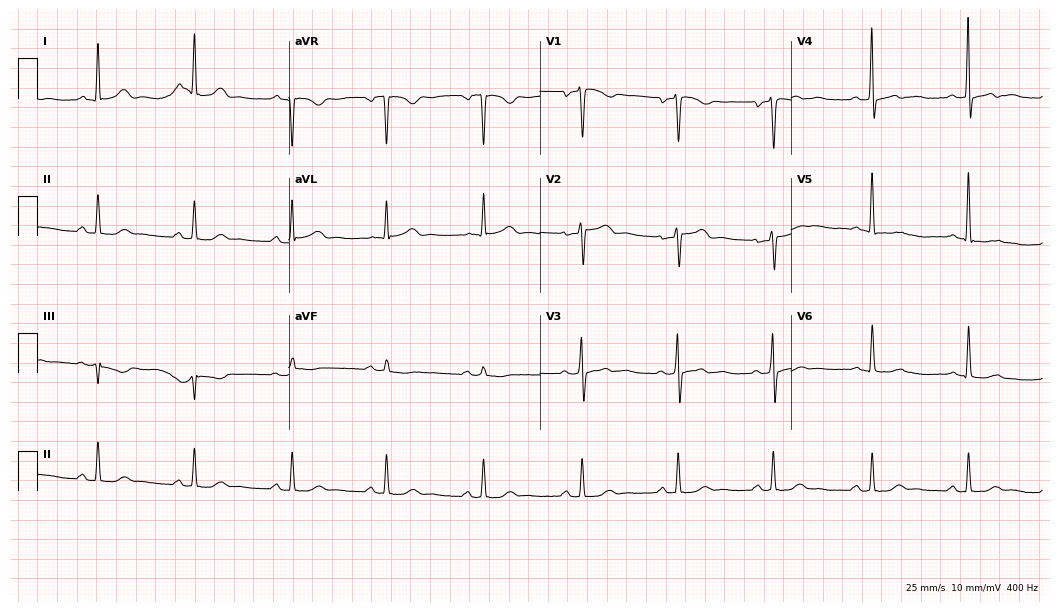
Standard 12-lead ECG recorded from a male, 44 years old (10.2-second recording at 400 Hz). None of these six findings is recorded: first-degree AV block, right bundle branch block (RBBB), left bundle branch block (LBBB), sinus bradycardia, atrial fibrillation (AF), sinus tachycardia. Only these six findings were labelled.